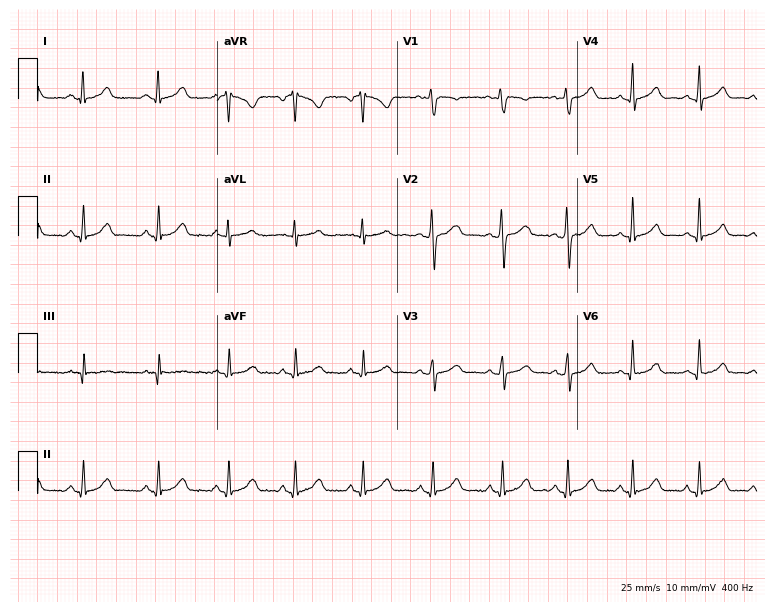
Resting 12-lead electrocardiogram (7.3-second recording at 400 Hz). Patient: a 30-year-old female. Read as a normal ECG.